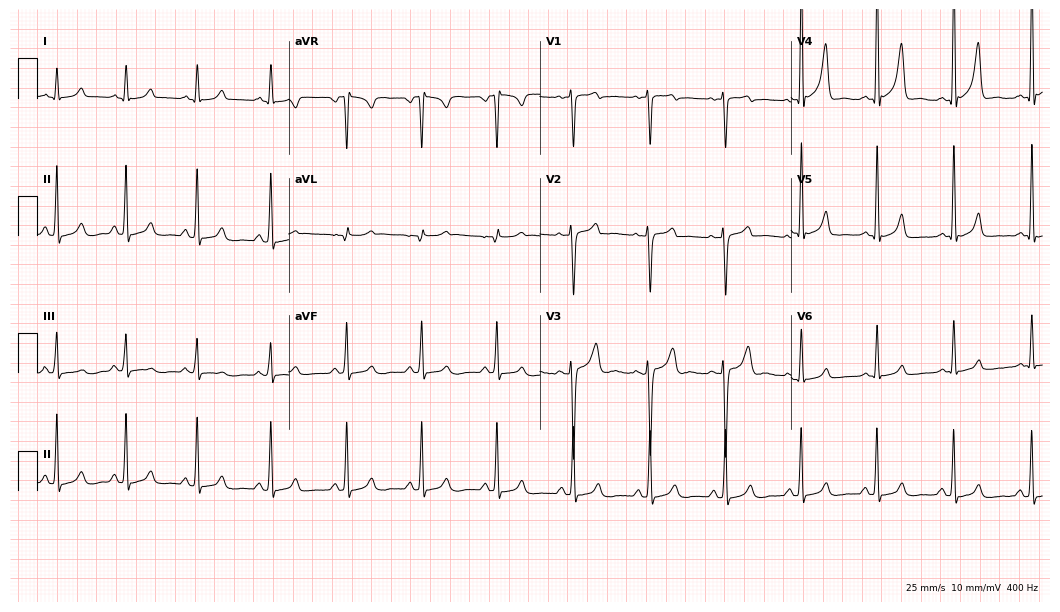
12-lead ECG from a 31-year-old man. Screened for six findings — first-degree AV block, right bundle branch block, left bundle branch block, sinus bradycardia, atrial fibrillation, sinus tachycardia — none is recorded.